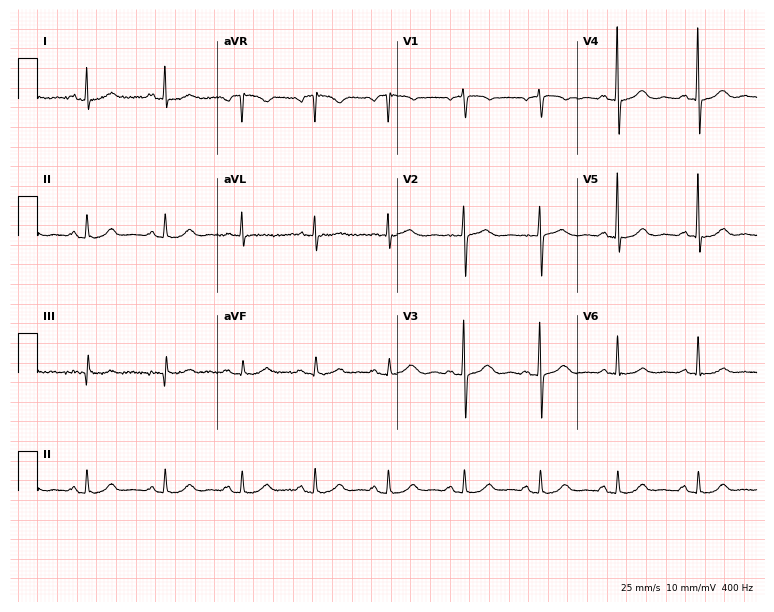
Standard 12-lead ECG recorded from an 82-year-old woman. Read as a normal ECG.